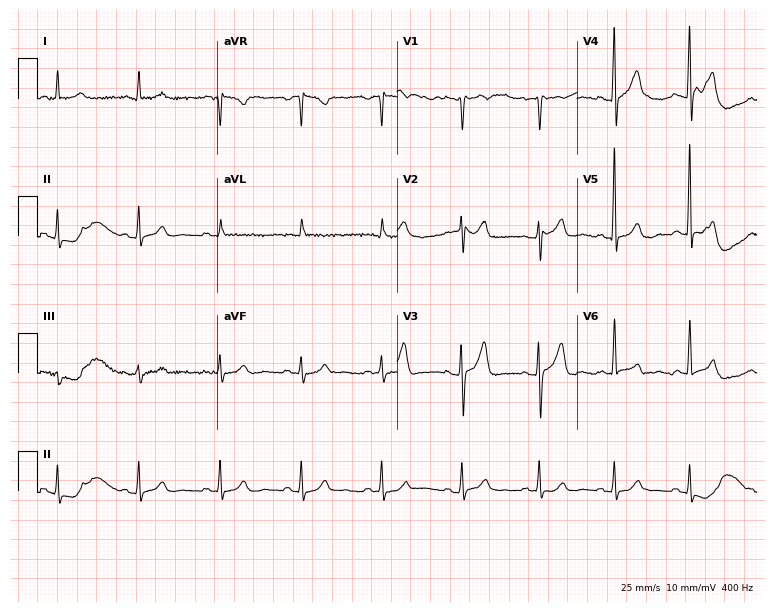
12-lead ECG from a 56-year-old male patient. Recorded interpretation: within normal limits.